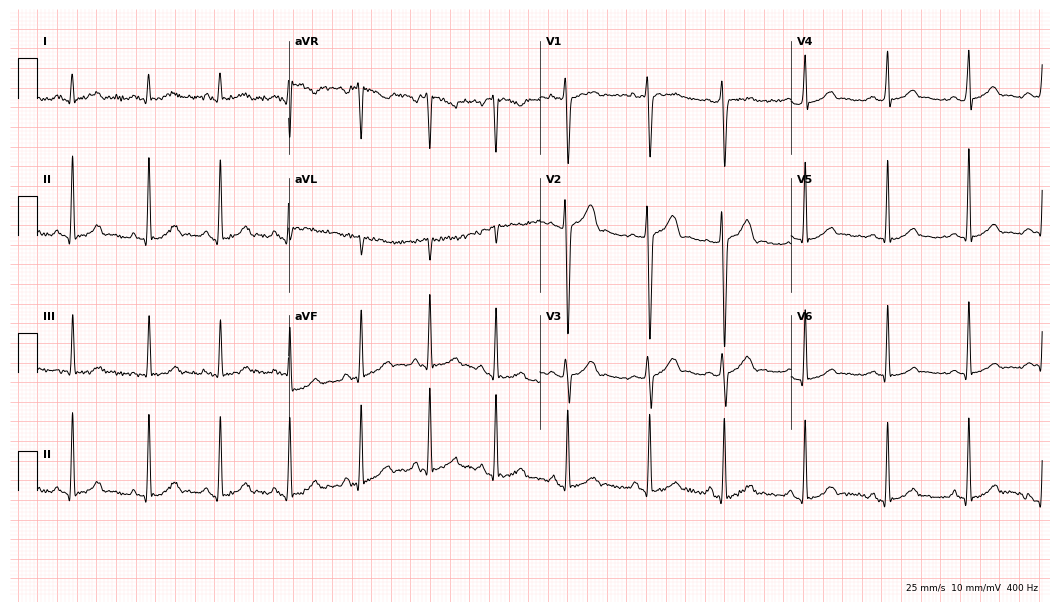
Standard 12-lead ECG recorded from an 18-year-old male. None of these six findings is recorded: first-degree AV block, right bundle branch block, left bundle branch block, sinus bradycardia, atrial fibrillation, sinus tachycardia. Other findings, if any, are not listed.